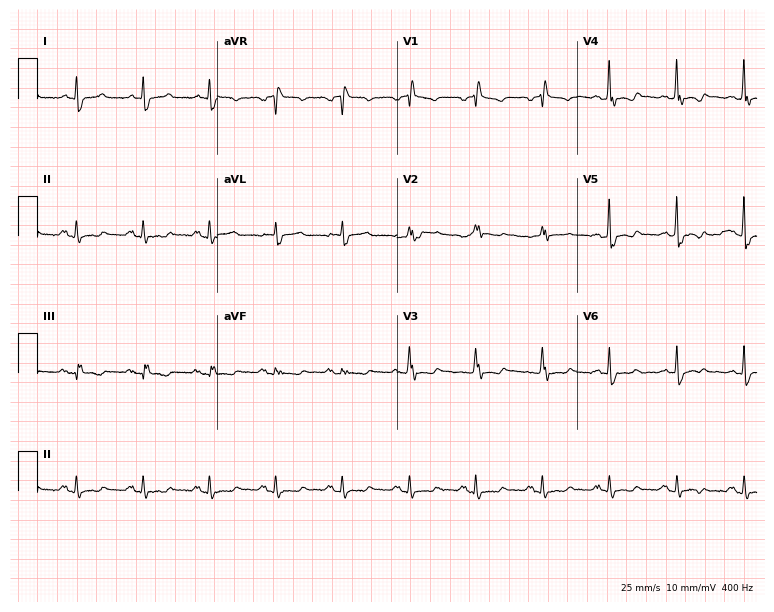
Standard 12-lead ECG recorded from a 66-year-old male patient (7.3-second recording at 400 Hz). None of these six findings is recorded: first-degree AV block, right bundle branch block, left bundle branch block, sinus bradycardia, atrial fibrillation, sinus tachycardia. Only these six findings were labelled.